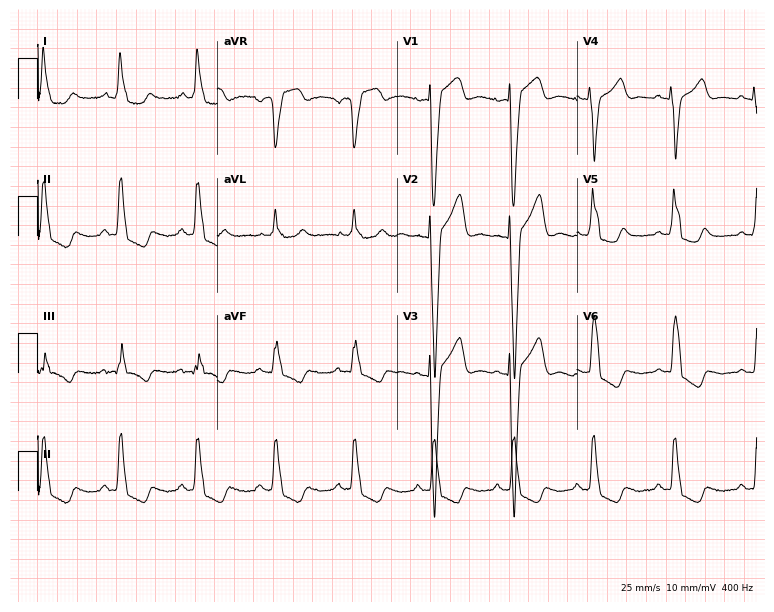
Electrocardiogram, an 83-year-old female patient. Interpretation includes left bundle branch block.